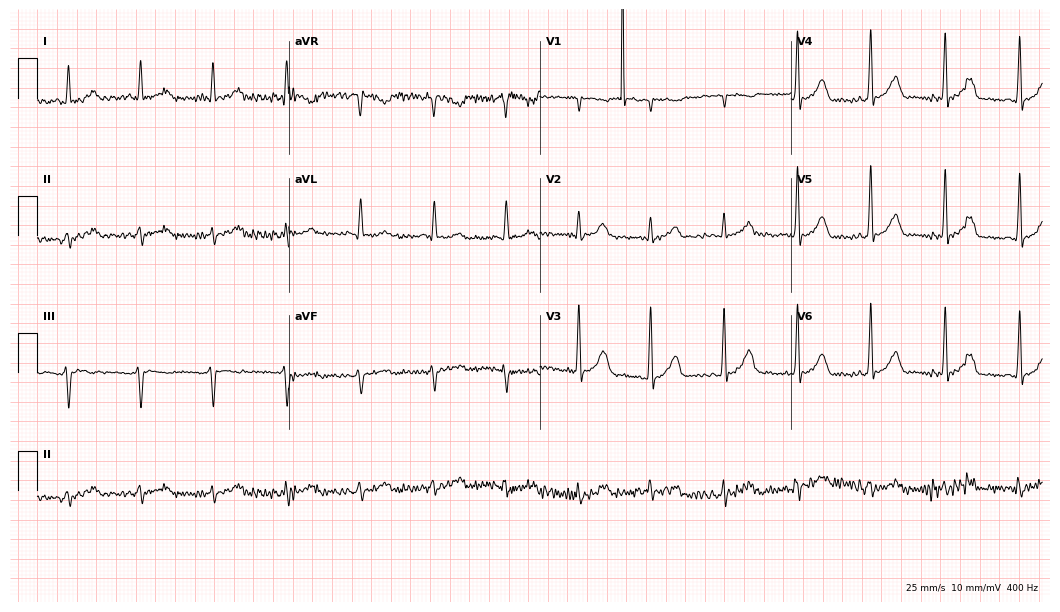
Standard 12-lead ECG recorded from a man, 79 years old. None of these six findings is recorded: first-degree AV block, right bundle branch block (RBBB), left bundle branch block (LBBB), sinus bradycardia, atrial fibrillation (AF), sinus tachycardia.